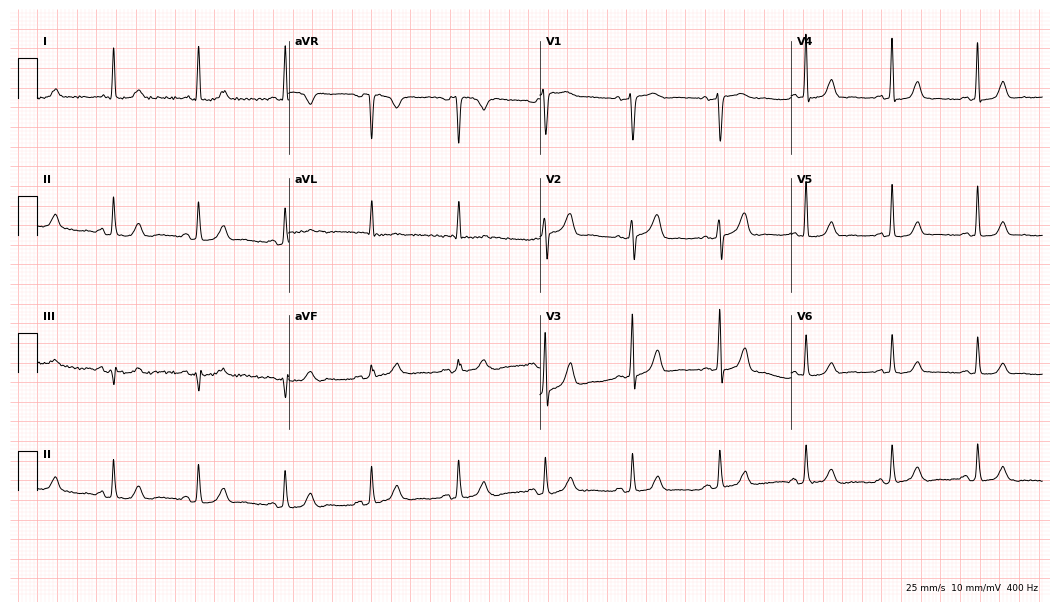
12-lead ECG from a female, 71 years old. No first-degree AV block, right bundle branch block, left bundle branch block, sinus bradycardia, atrial fibrillation or sinus tachycardia recorded for this tracing. Findings outside these six are not listed.